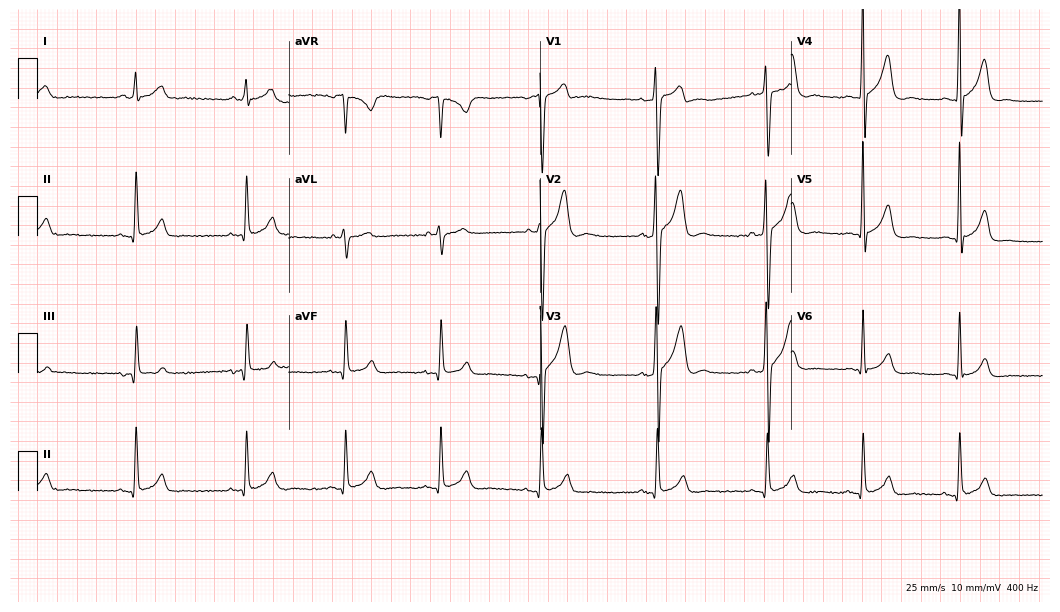
Electrocardiogram (10.2-second recording at 400 Hz), a 33-year-old male patient. Of the six screened findings (first-degree AV block, right bundle branch block, left bundle branch block, sinus bradycardia, atrial fibrillation, sinus tachycardia), none is recorded. Only these six findings were labelled.